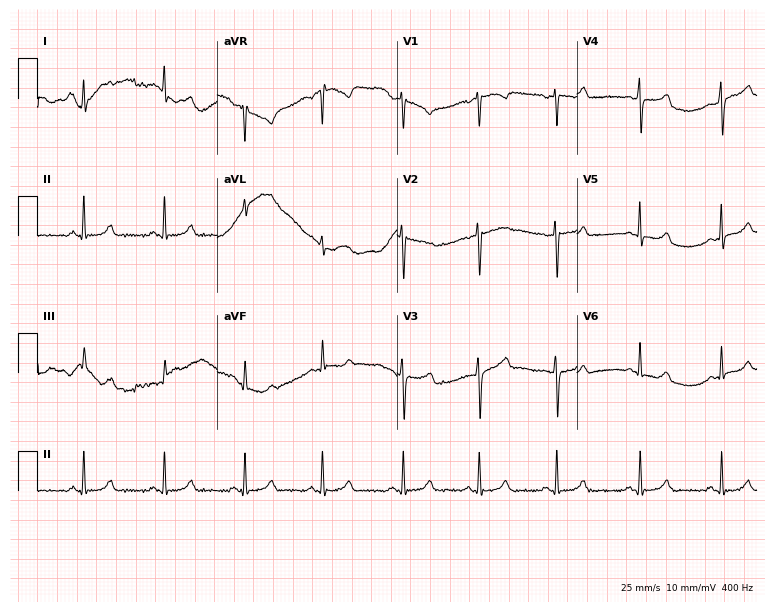
ECG — a 28-year-old female patient. Screened for six findings — first-degree AV block, right bundle branch block (RBBB), left bundle branch block (LBBB), sinus bradycardia, atrial fibrillation (AF), sinus tachycardia — none is recorded.